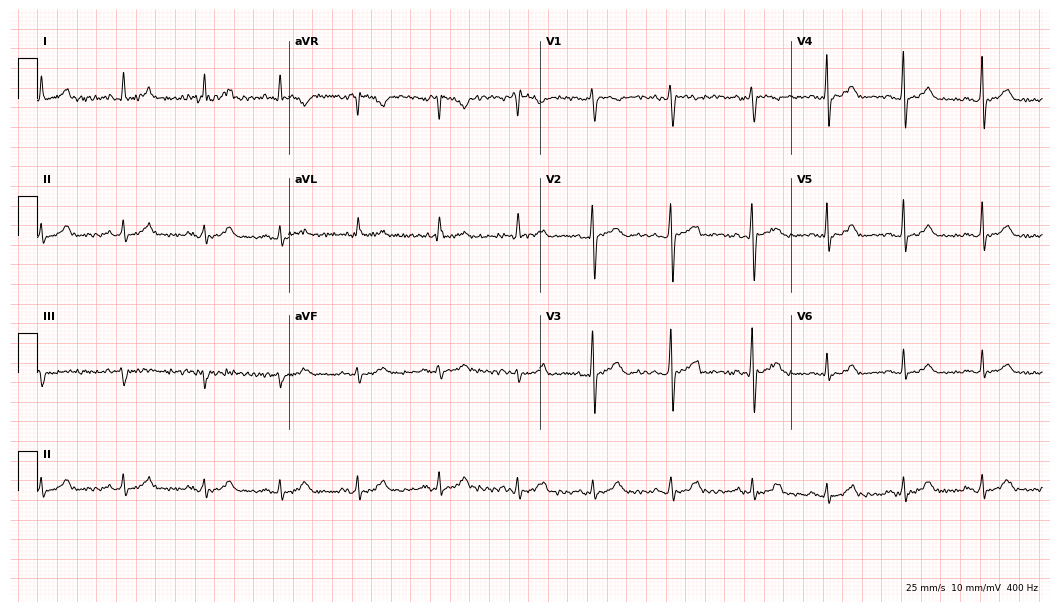
Resting 12-lead electrocardiogram. Patient: a 33-year-old woman. None of these six findings is recorded: first-degree AV block, right bundle branch block, left bundle branch block, sinus bradycardia, atrial fibrillation, sinus tachycardia.